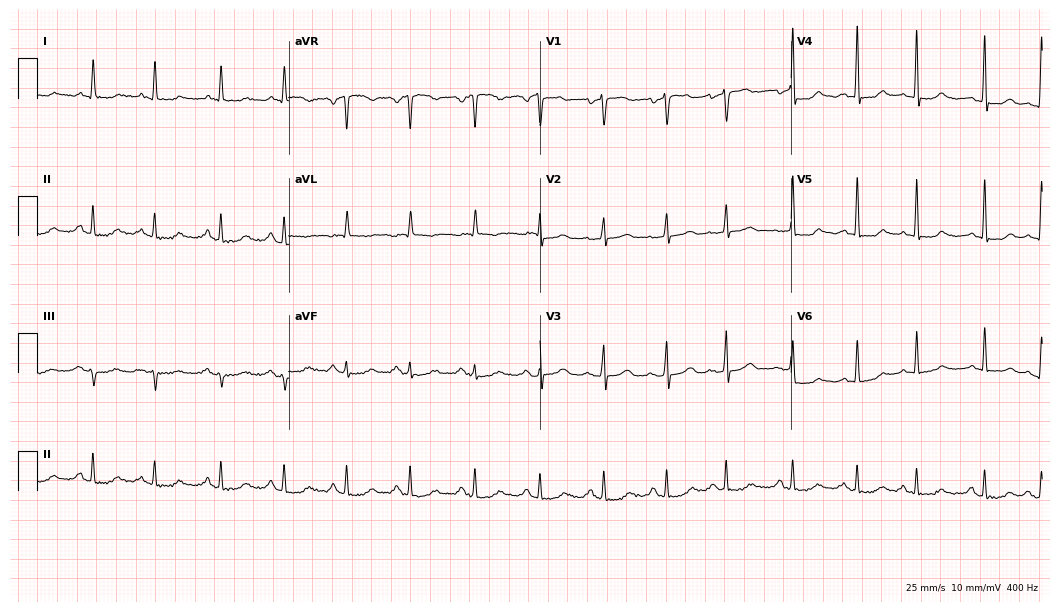
Electrocardiogram, an 82-year-old female. Of the six screened findings (first-degree AV block, right bundle branch block (RBBB), left bundle branch block (LBBB), sinus bradycardia, atrial fibrillation (AF), sinus tachycardia), none is recorded. Findings outside these six are not listed.